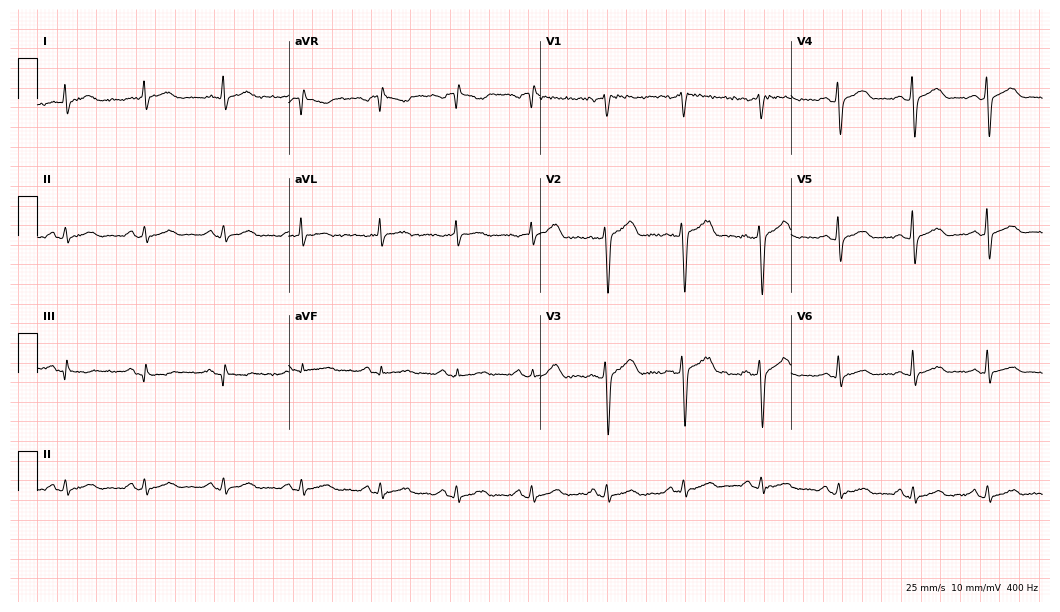
12-lead ECG (10.2-second recording at 400 Hz) from a 53-year-old male patient. Labelled as a normal ECG.